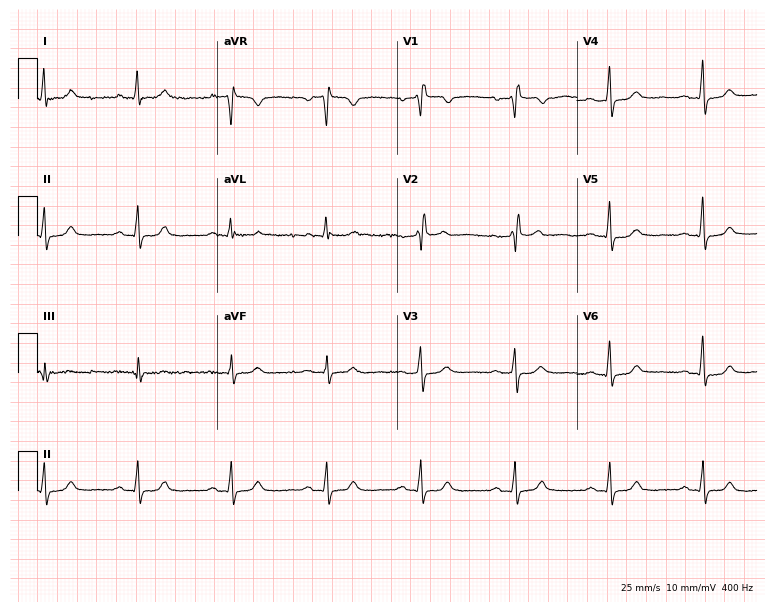
12-lead ECG from a 62-year-old woman (7.3-second recording at 400 Hz). No first-degree AV block, right bundle branch block, left bundle branch block, sinus bradycardia, atrial fibrillation or sinus tachycardia recorded for this tracing.